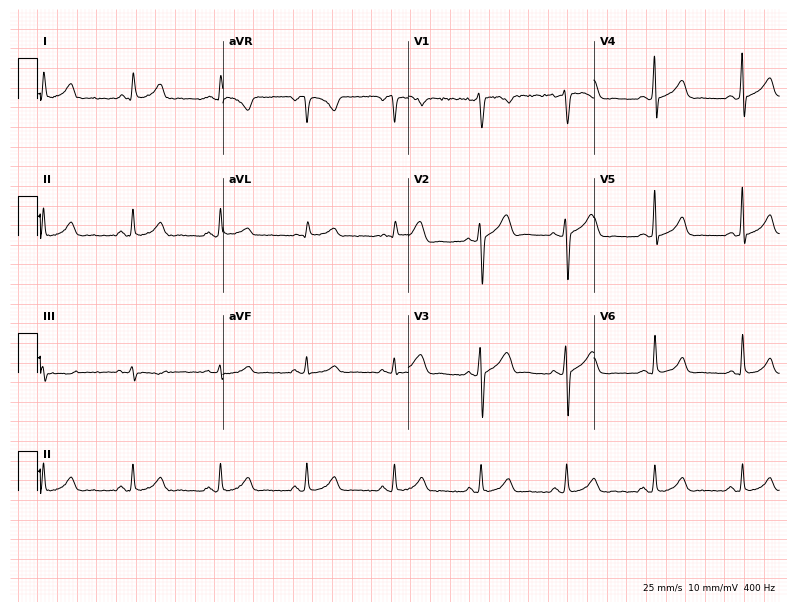
Standard 12-lead ECG recorded from a female, 39 years old. None of these six findings is recorded: first-degree AV block, right bundle branch block (RBBB), left bundle branch block (LBBB), sinus bradycardia, atrial fibrillation (AF), sinus tachycardia.